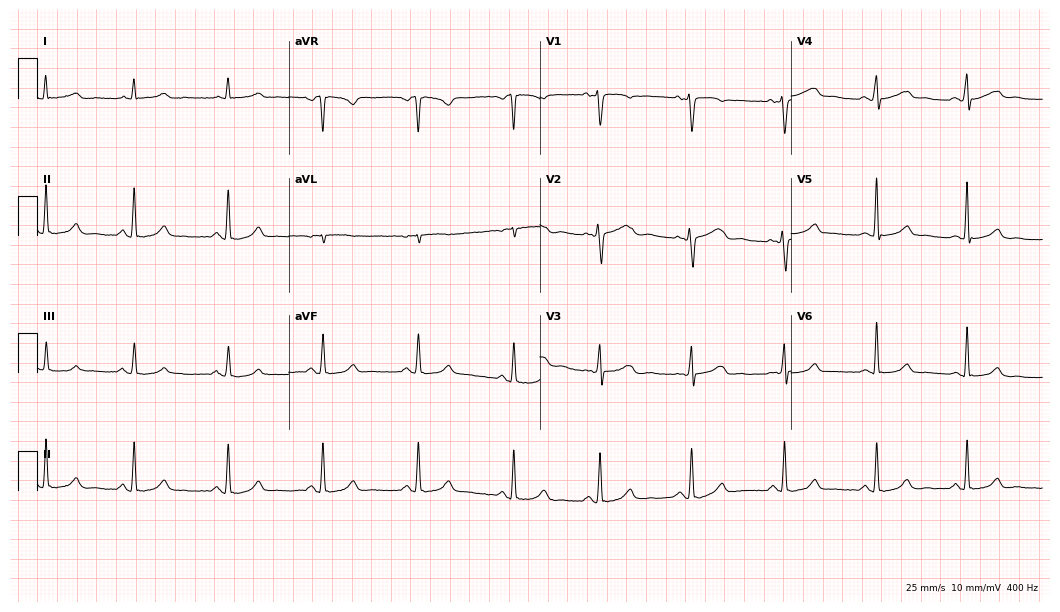
ECG — a woman, 34 years old. Screened for six findings — first-degree AV block, right bundle branch block (RBBB), left bundle branch block (LBBB), sinus bradycardia, atrial fibrillation (AF), sinus tachycardia — none is recorded. Only these six findings were labelled.